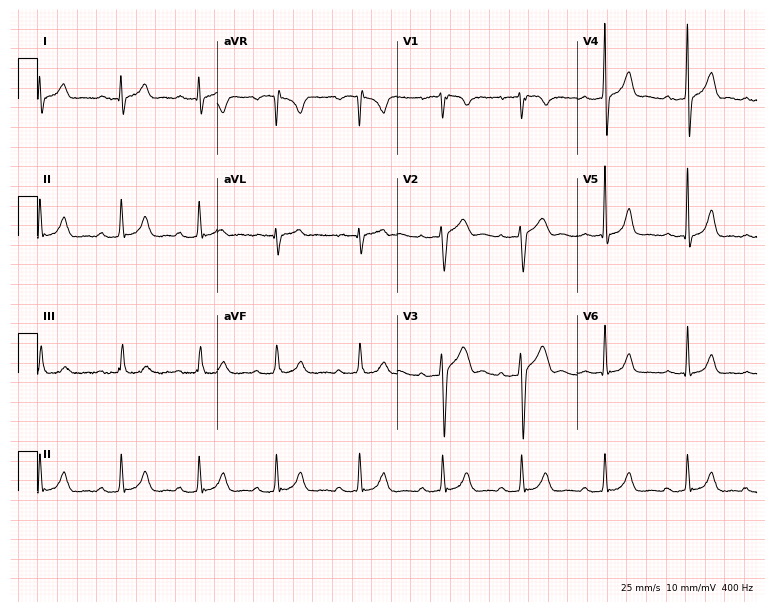
12-lead ECG from a 21-year-old male patient. Shows first-degree AV block.